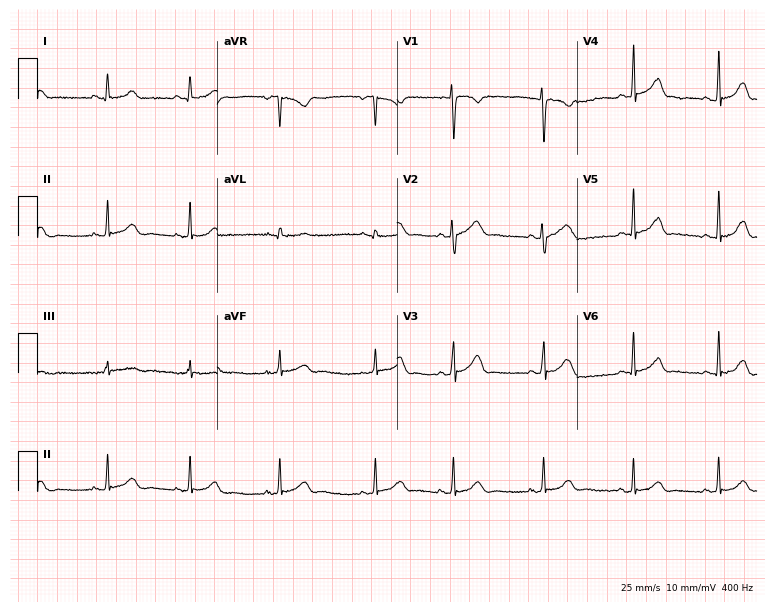
12-lead ECG from a 21-year-old female patient (7.3-second recording at 400 Hz). No first-degree AV block, right bundle branch block, left bundle branch block, sinus bradycardia, atrial fibrillation or sinus tachycardia recorded for this tracing.